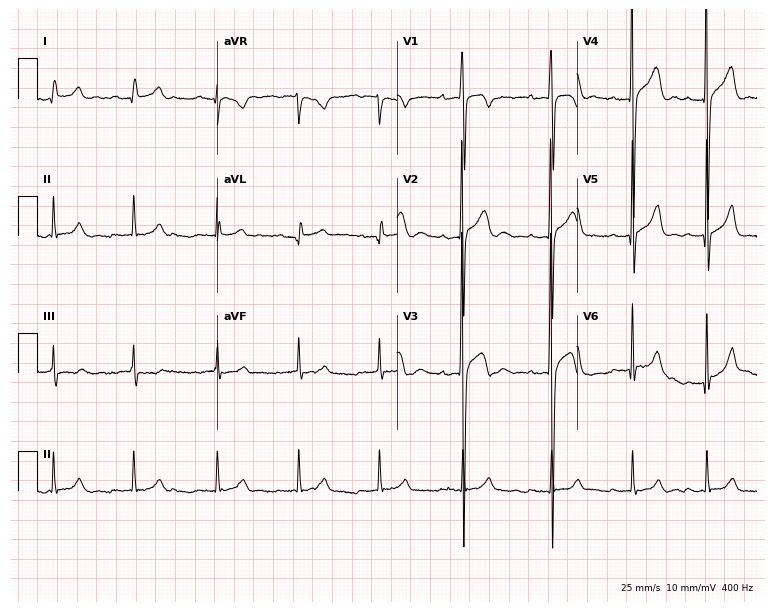
12-lead ECG from a male patient, 17 years old. No first-degree AV block, right bundle branch block (RBBB), left bundle branch block (LBBB), sinus bradycardia, atrial fibrillation (AF) or sinus tachycardia recorded for this tracing. Findings outside these six are not listed.